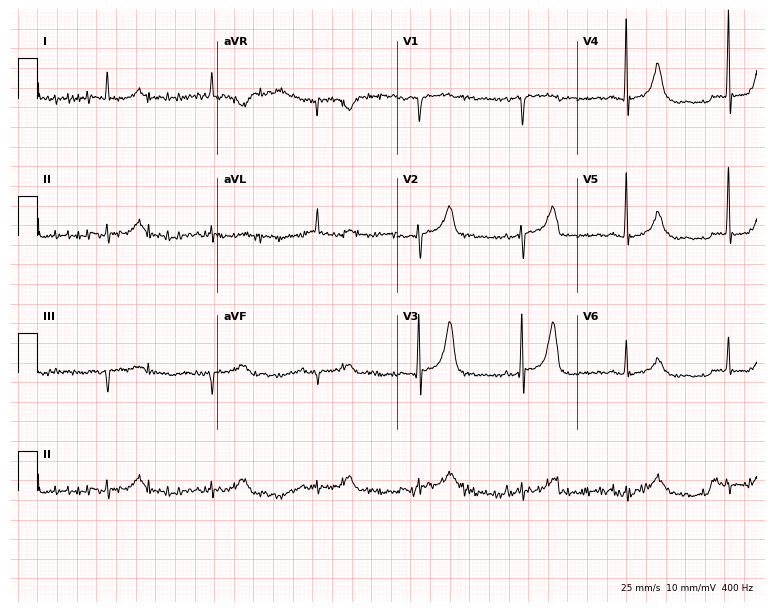
ECG — a male, 75 years old. Screened for six findings — first-degree AV block, right bundle branch block (RBBB), left bundle branch block (LBBB), sinus bradycardia, atrial fibrillation (AF), sinus tachycardia — none is recorded.